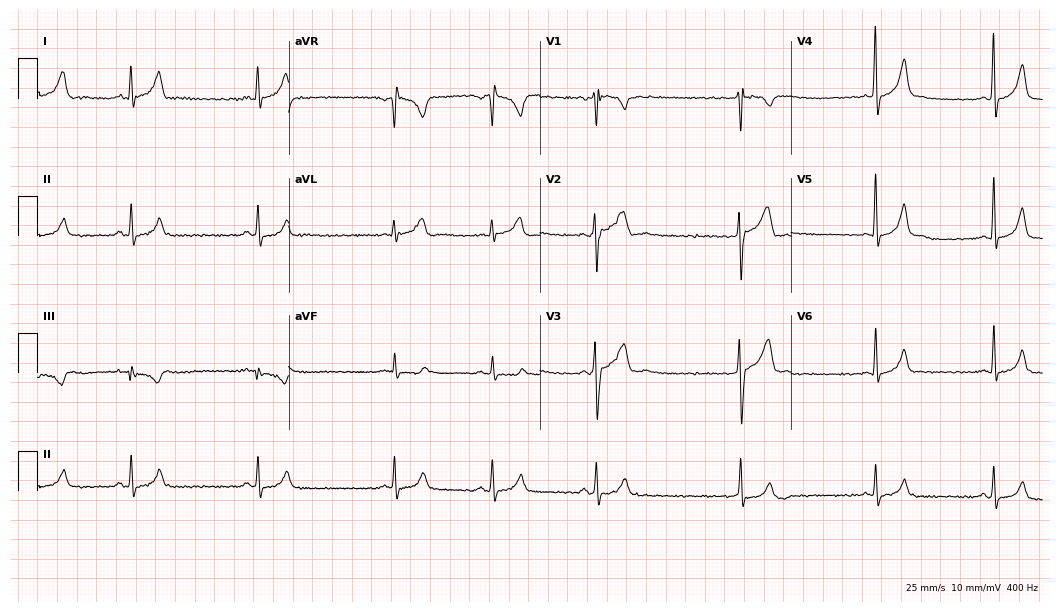
12-lead ECG from a 19-year-old man (10.2-second recording at 400 Hz). Recorded interpretation: within normal limits.